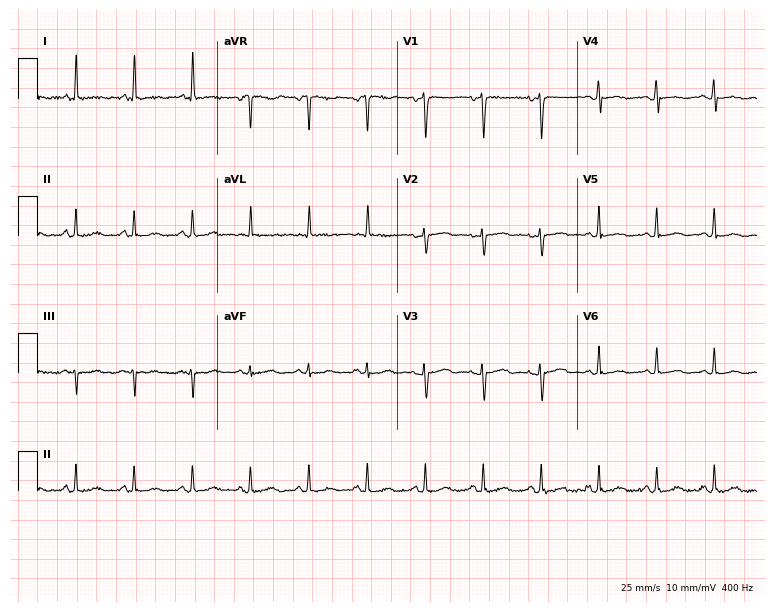
Resting 12-lead electrocardiogram. Patient: a 39-year-old woman. The tracing shows sinus tachycardia (a sinus rate of 100 beats per minute or more).